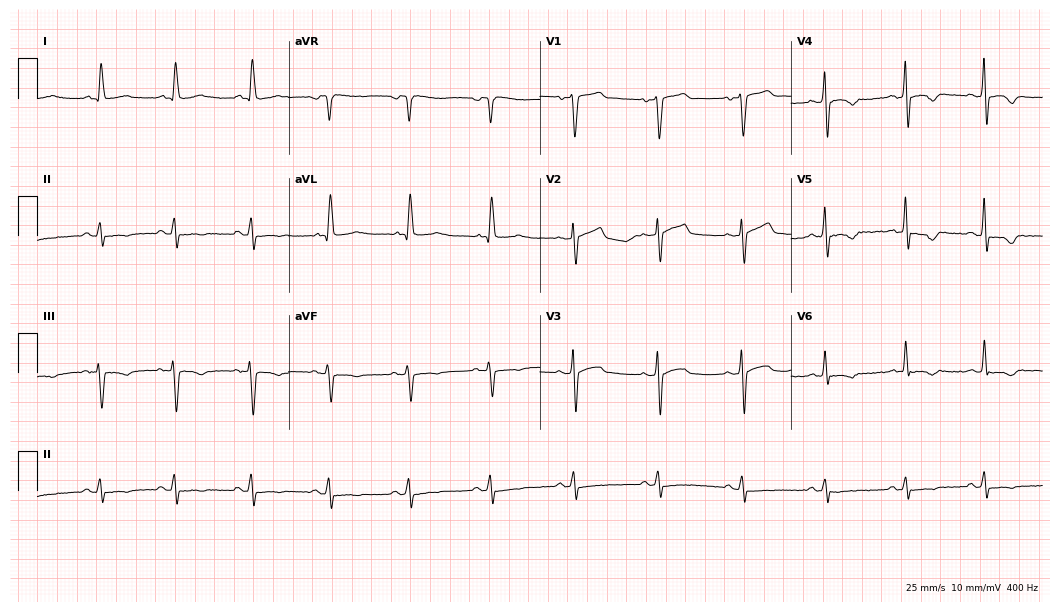
12-lead ECG from a male patient, 65 years old. Screened for six findings — first-degree AV block, right bundle branch block, left bundle branch block, sinus bradycardia, atrial fibrillation, sinus tachycardia — none is recorded.